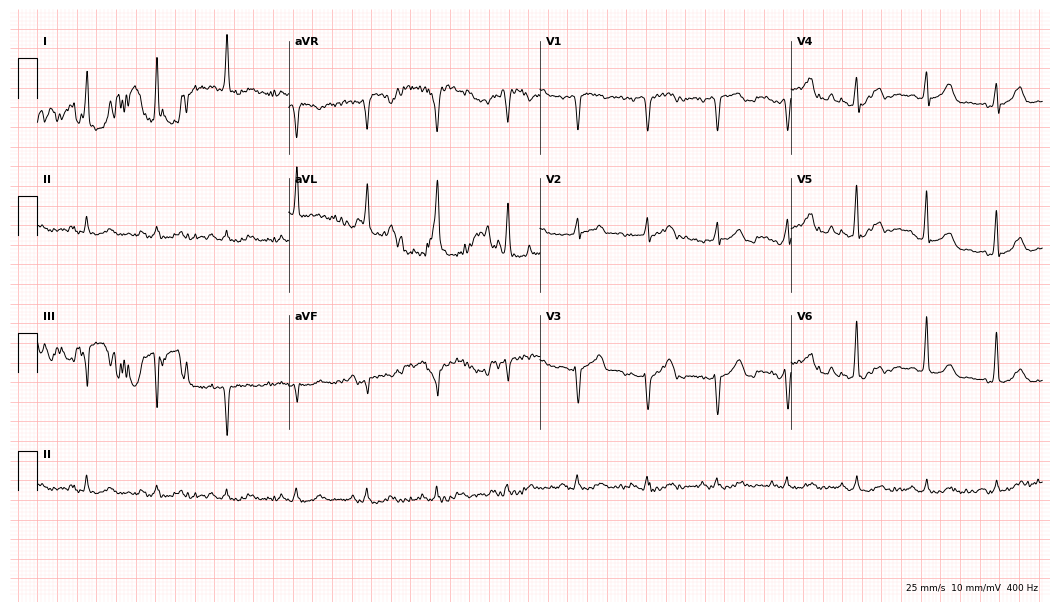
ECG (10.2-second recording at 400 Hz) — a man, 75 years old. Screened for six findings — first-degree AV block, right bundle branch block, left bundle branch block, sinus bradycardia, atrial fibrillation, sinus tachycardia — none is recorded.